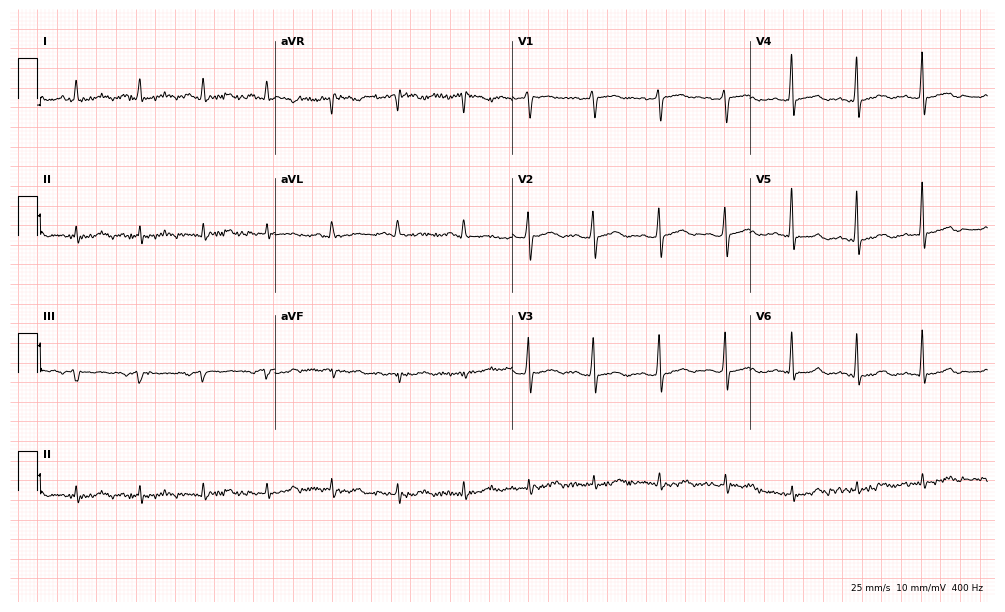
12-lead ECG (9.7-second recording at 400 Hz) from a 73-year-old male. Labelled as a normal ECG.